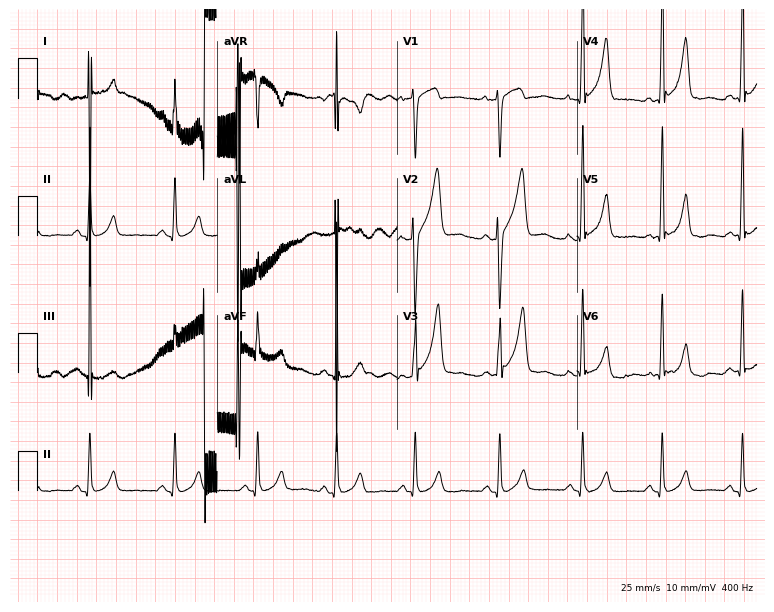
Electrocardiogram, a male, 43 years old. Of the six screened findings (first-degree AV block, right bundle branch block, left bundle branch block, sinus bradycardia, atrial fibrillation, sinus tachycardia), none is recorded.